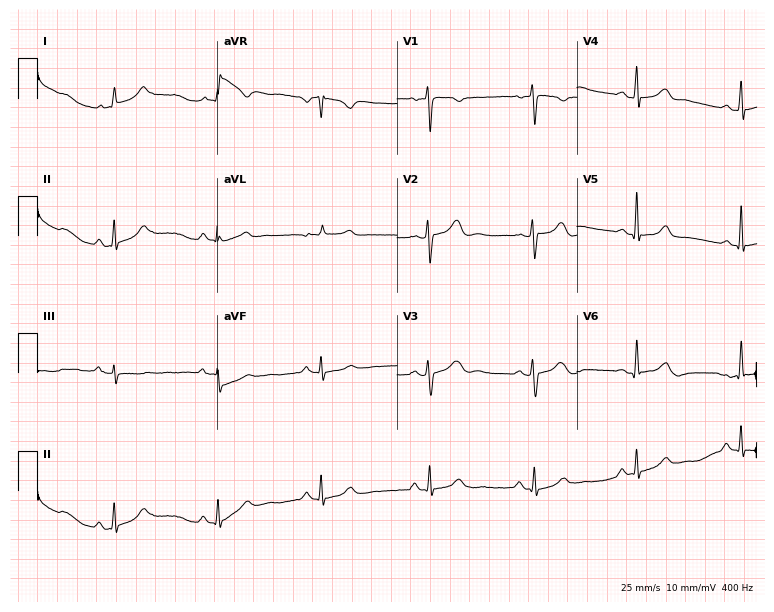
12-lead ECG from a woman, 36 years old (7.3-second recording at 400 Hz). No first-degree AV block, right bundle branch block (RBBB), left bundle branch block (LBBB), sinus bradycardia, atrial fibrillation (AF) or sinus tachycardia recorded for this tracing. Only these six findings were labelled.